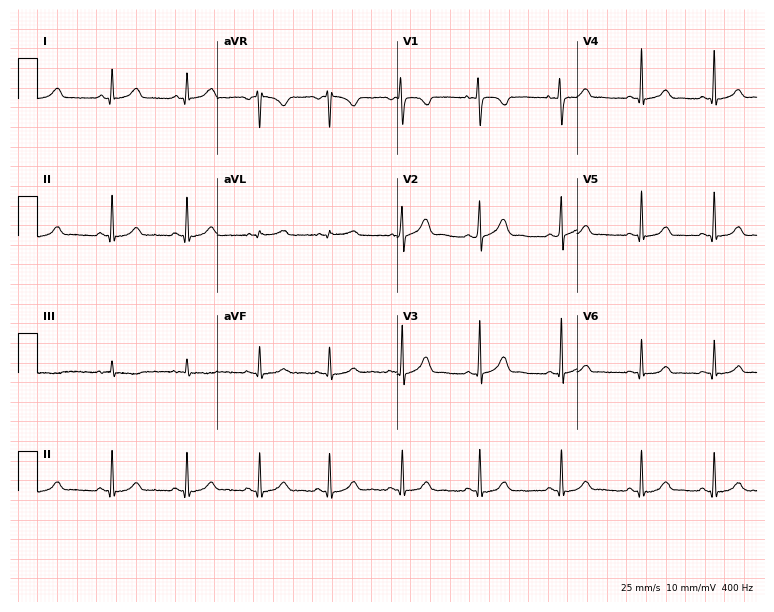
12-lead ECG from a woman, 31 years old (7.3-second recording at 400 Hz). Recorded interpretation: within normal limits.